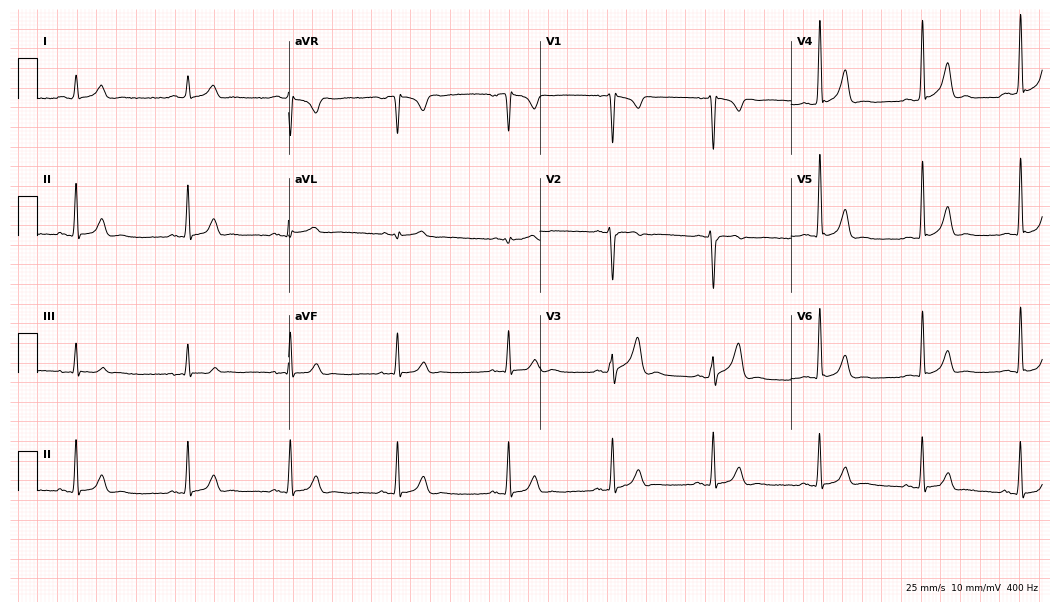
12-lead ECG from a 25-year-old man. Labelled as a normal ECG.